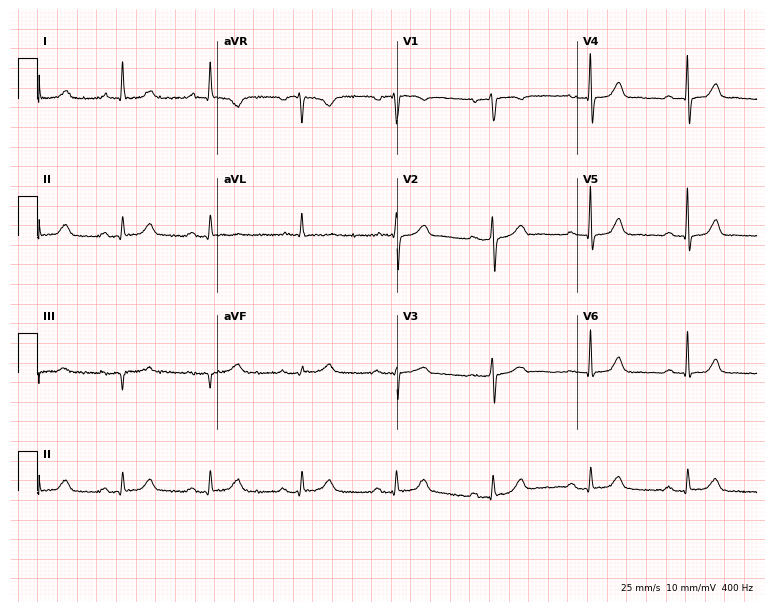
Electrocardiogram, a female, 70 years old. Overall reading on record: normal ECG.